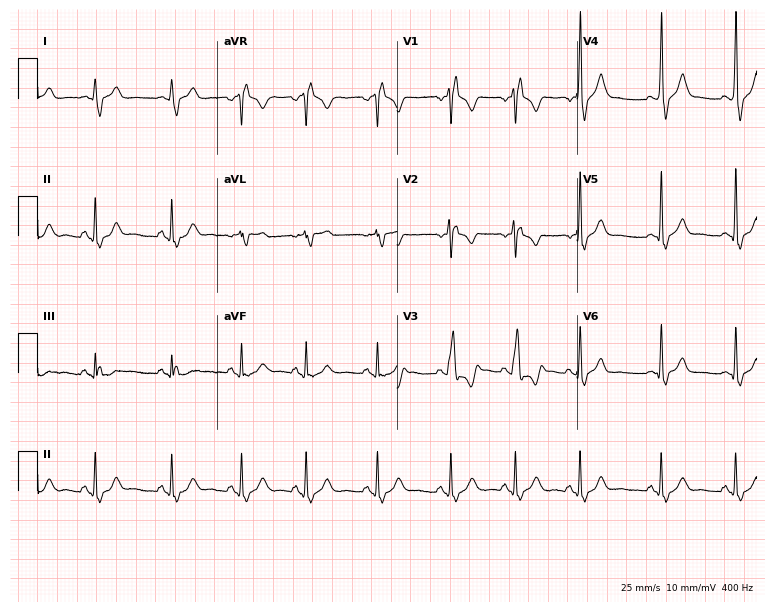
Electrocardiogram, a 23-year-old male patient. Interpretation includes right bundle branch block.